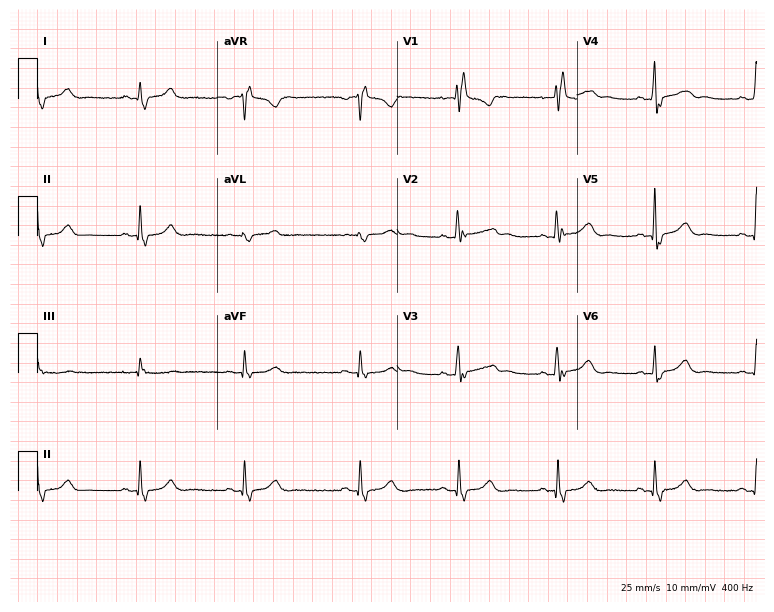
ECG (7.3-second recording at 400 Hz) — a 42-year-old female. Findings include right bundle branch block.